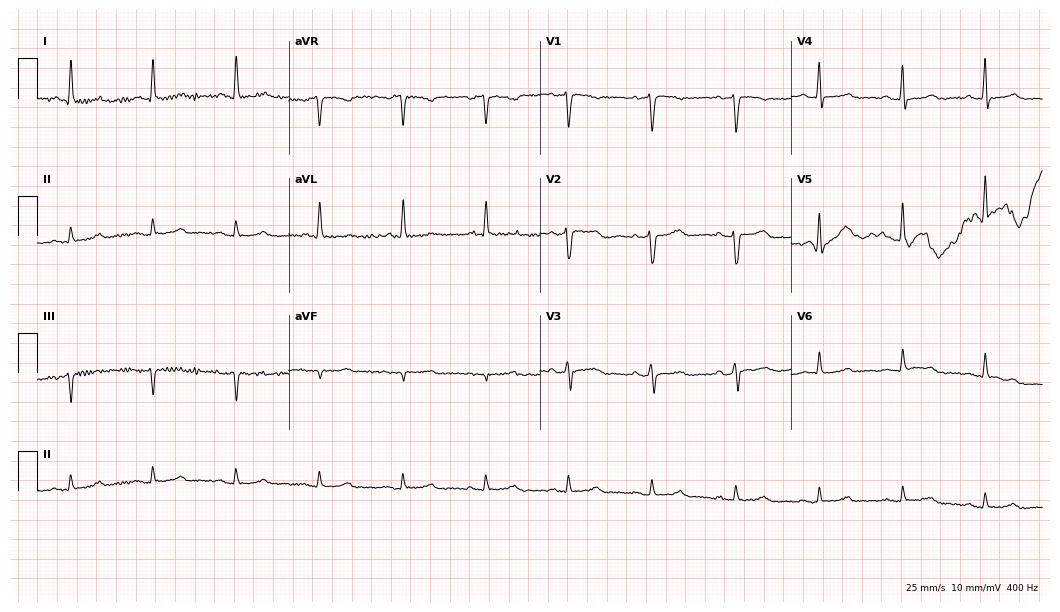
ECG — a female, 72 years old. Screened for six findings — first-degree AV block, right bundle branch block, left bundle branch block, sinus bradycardia, atrial fibrillation, sinus tachycardia — none is recorded.